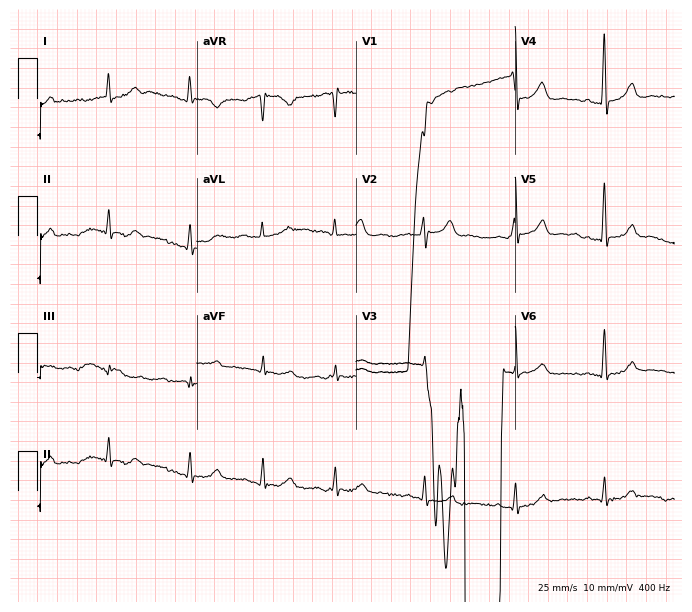
Resting 12-lead electrocardiogram (6.5-second recording at 400 Hz). Patient: a male, 81 years old. None of these six findings is recorded: first-degree AV block, right bundle branch block, left bundle branch block, sinus bradycardia, atrial fibrillation, sinus tachycardia.